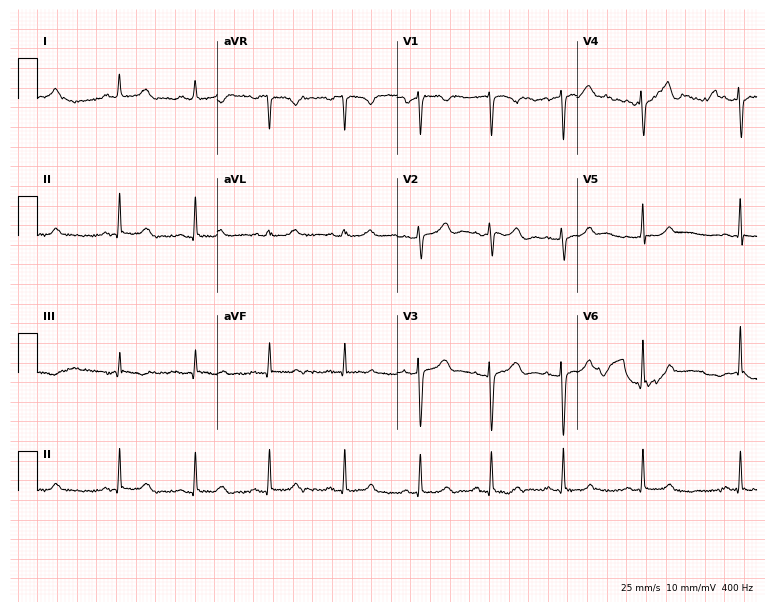
ECG — a female, 26 years old. Labelled as a normal ECG.